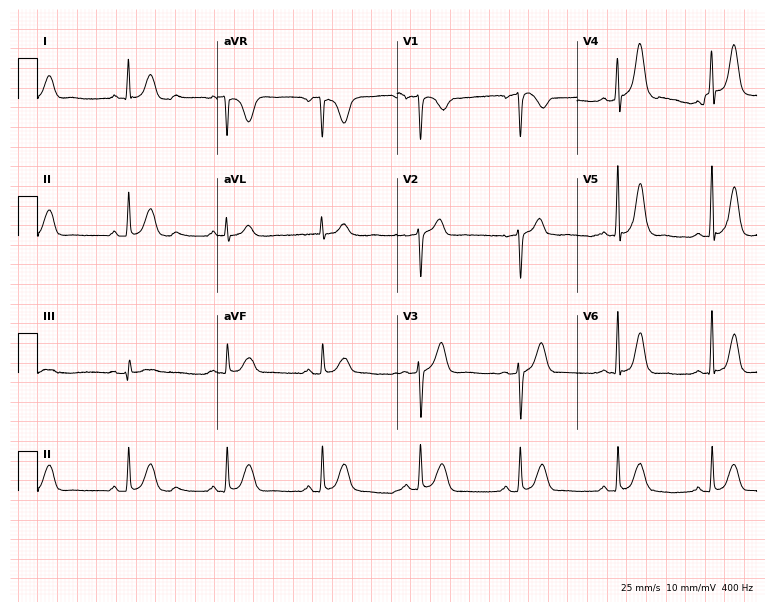
12-lead ECG from a woman, 60 years old (7.3-second recording at 400 Hz). No first-degree AV block, right bundle branch block (RBBB), left bundle branch block (LBBB), sinus bradycardia, atrial fibrillation (AF) or sinus tachycardia recorded for this tracing. Other findings, if any, are not listed.